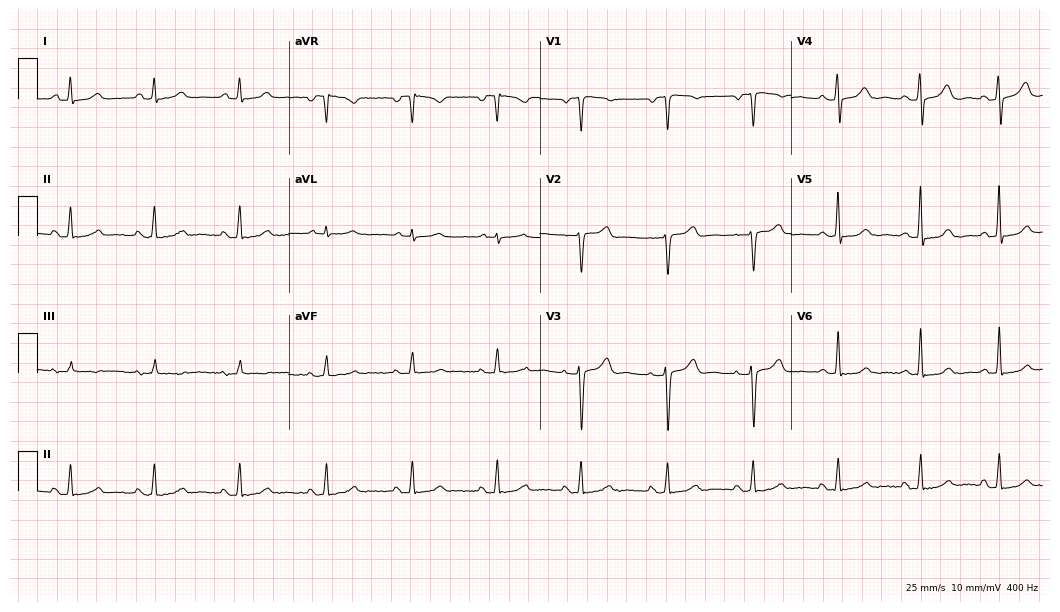
Resting 12-lead electrocardiogram (10.2-second recording at 400 Hz). Patient: a female, 52 years old. None of these six findings is recorded: first-degree AV block, right bundle branch block, left bundle branch block, sinus bradycardia, atrial fibrillation, sinus tachycardia.